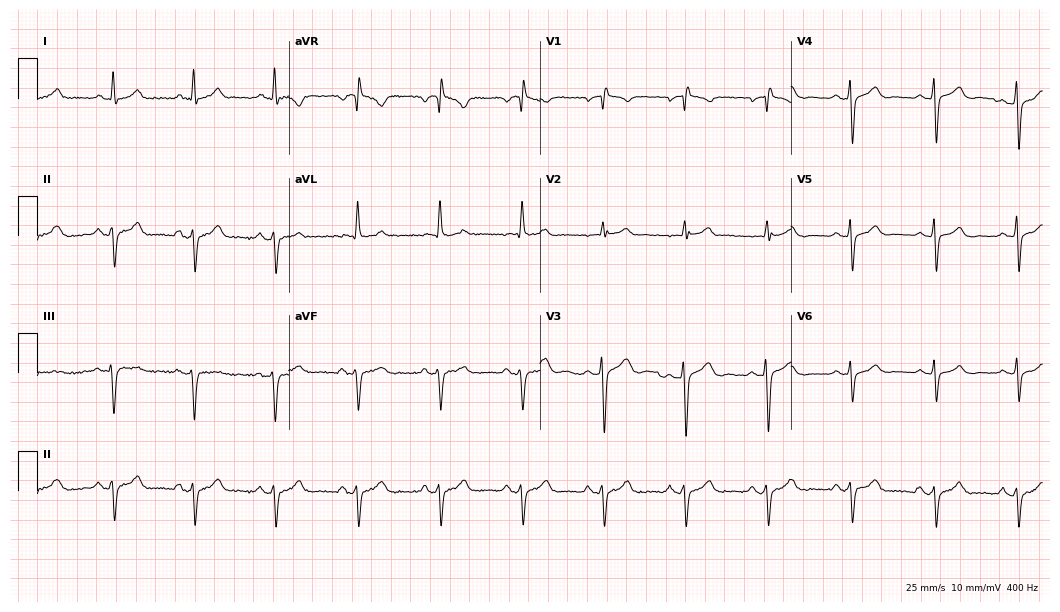
Resting 12-lead electrocardiogram. Patient: a 60-year-old male. None of these six findings is recorded: first-degree AV block, right bundle branch block, left bundle branch block, sinus bradycardia, atrial fibrillation, sinus tachycardia. Findings outside these six are not listed.